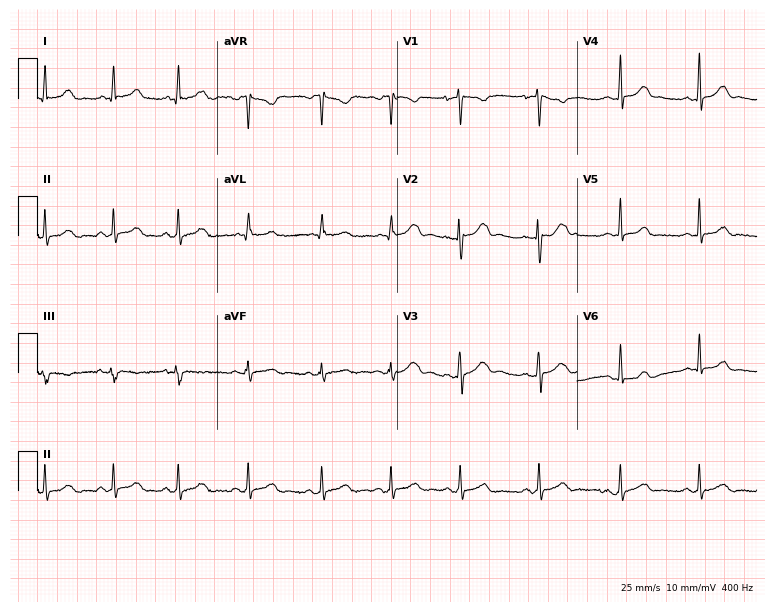
Electrocardiogram, a woman, 19 years old. Overall reading on record: normal ECG.